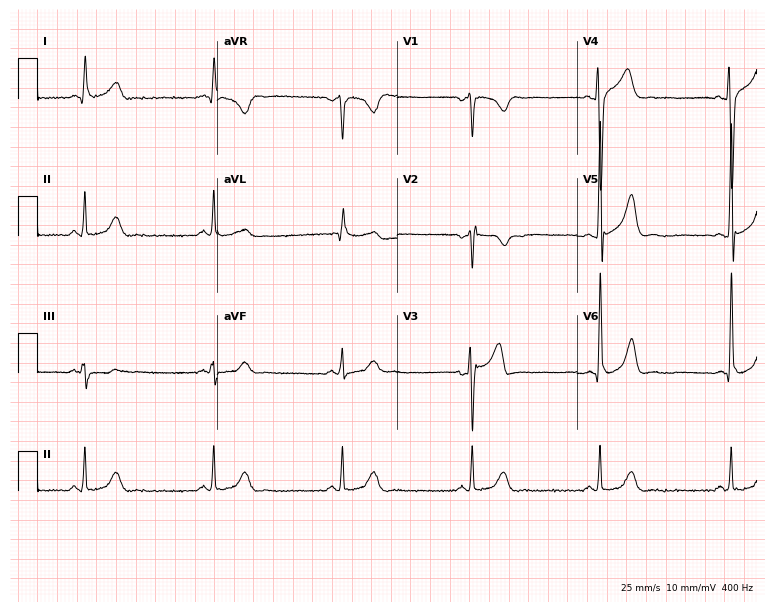
12-lead ECG (7.3-second recording at 400 Hz) from a male patient, 54 years old. Findings include sinus bradycardia (a sinus rate of 50 beats per minute or less).